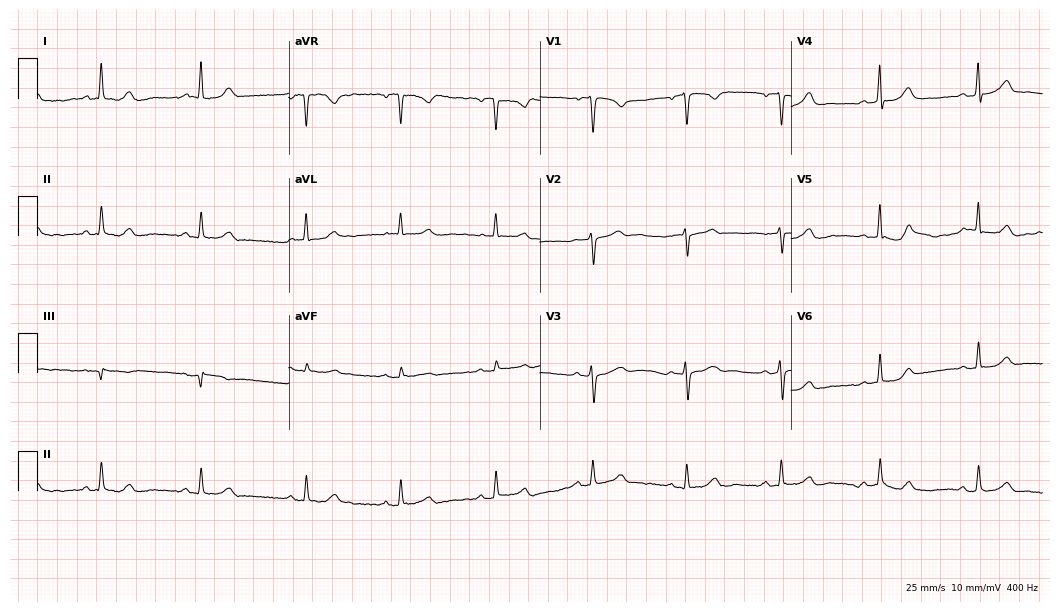
Resting 12-lead electrocardiogram (10.2-second recording at 400 Hz). Patient: a female, 38 years old. Read as a normal ECG.